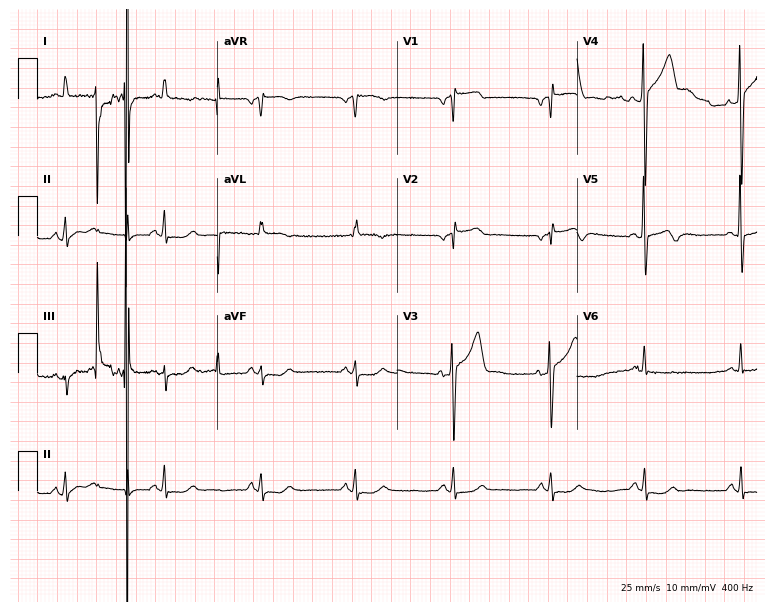
Resting 12-lead electrocardiogram. Patient: a 64-year-old man. None of these six findings is recorded: first-degree AV block, right bundle branch block (RBBB), left bundle branch block (LBBB), sinus bradycardia, atrial fibrillation (AF), sinus tachycardia. Other findings, if any, are not listed.